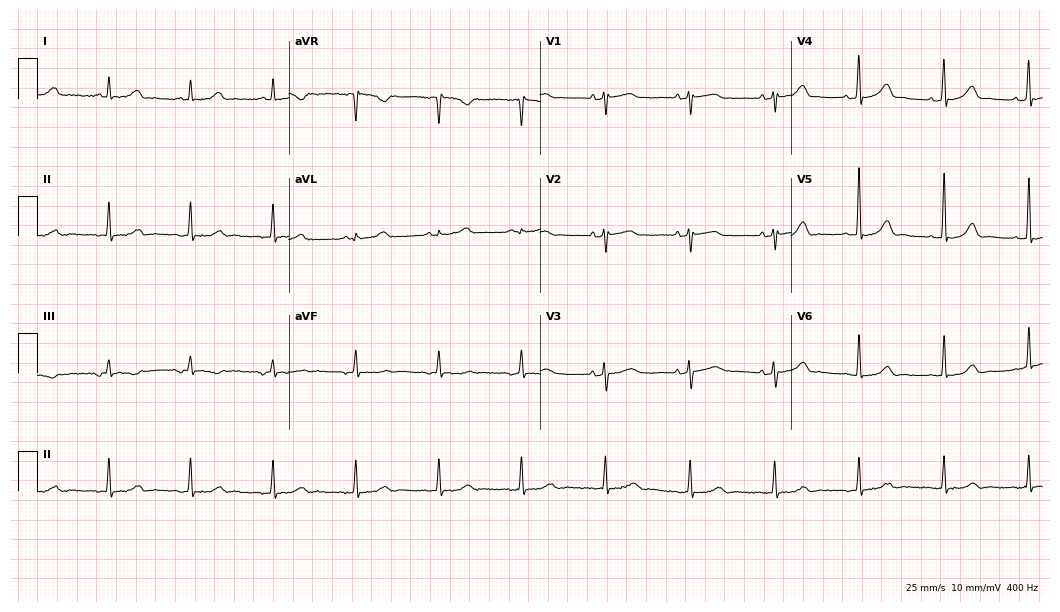
Standard 12-lead ECG recorded from a 63-year-old female (10.2-second recording at 400 Hz). Read as a normal ECG.